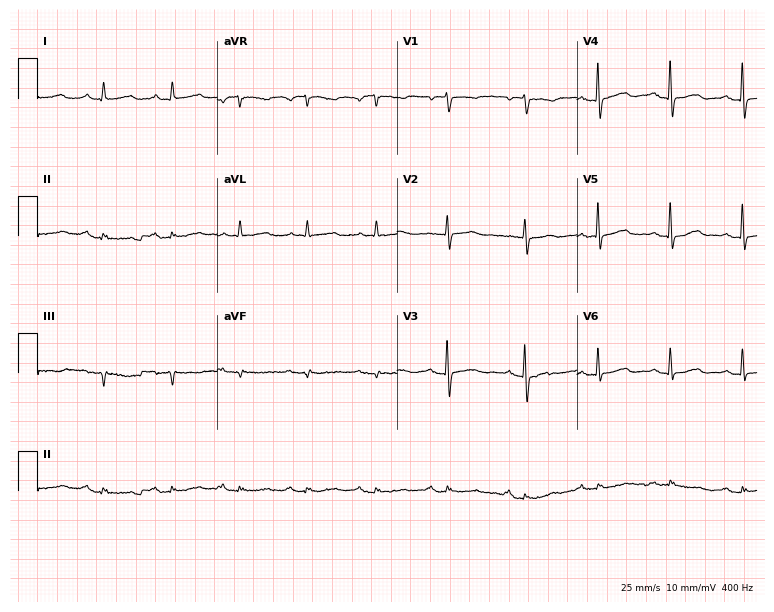
12-lead ECG from a female, 85 years old. Screened for six findings — first-degree AV block, right bundle branch block, left bundle branch block, sinus bradycardia, atrial fibrillation, sinus tachycardia — none is recorded.